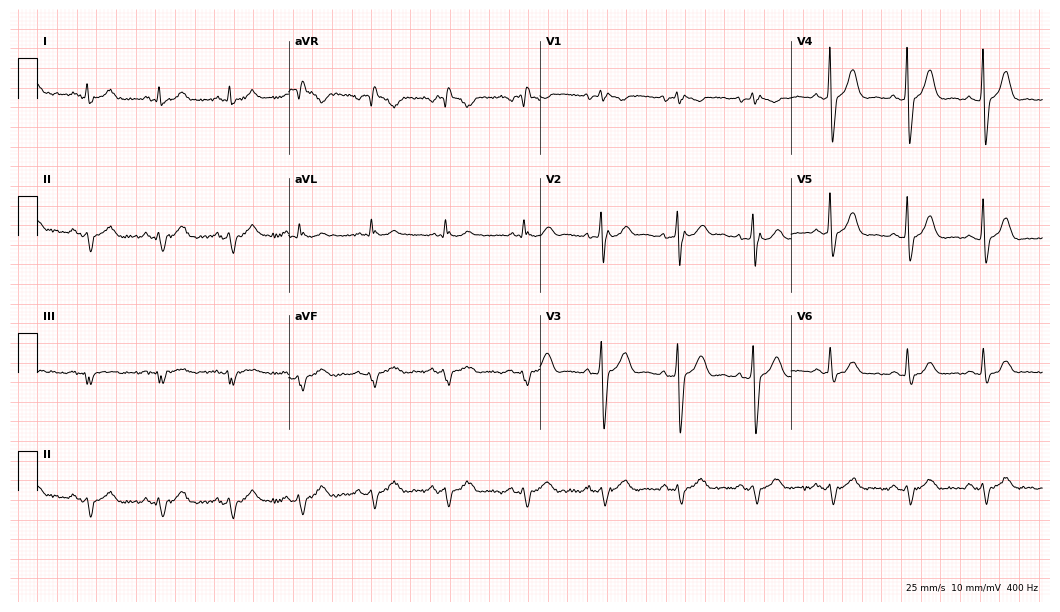
Electrocardiogram, a 55-year-old man. Interpretation includes right bundle branch block.